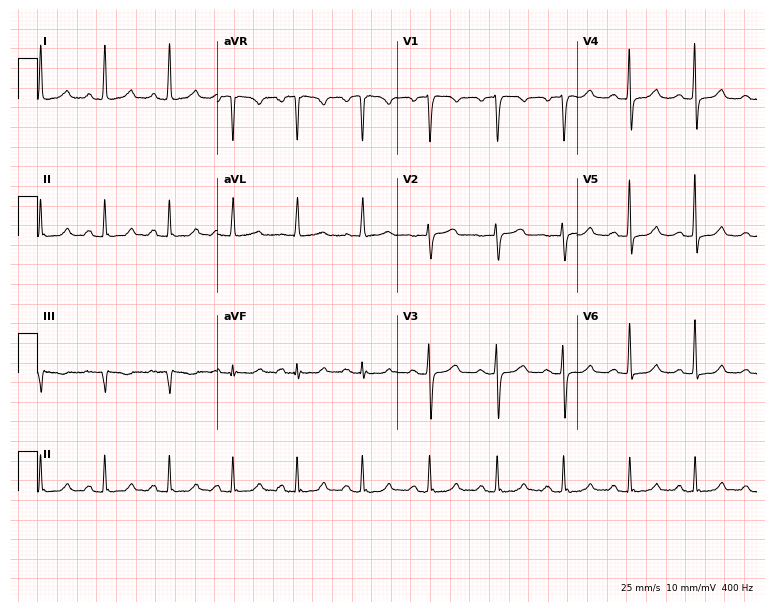
ECG — a 58-year-old female. Labelled as a normal ECG.